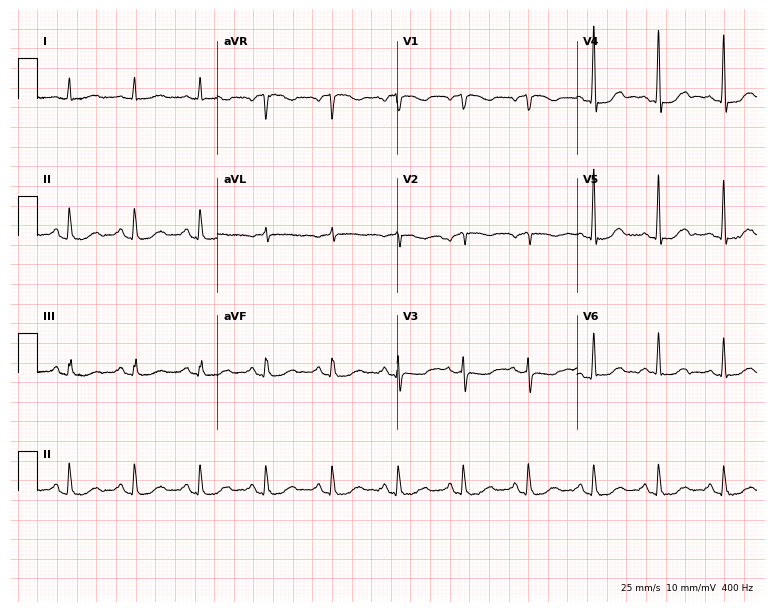
12-lead ECG from a female patient, 65 years old (7.3-second recording at 400 Hz). No first-degree AV block, right bundle branch block, left bundle branch block, sinus bradycardia, atrial fibrillation or sinus tachycardia recorded for this tracing. Findings outside these six are not listed.